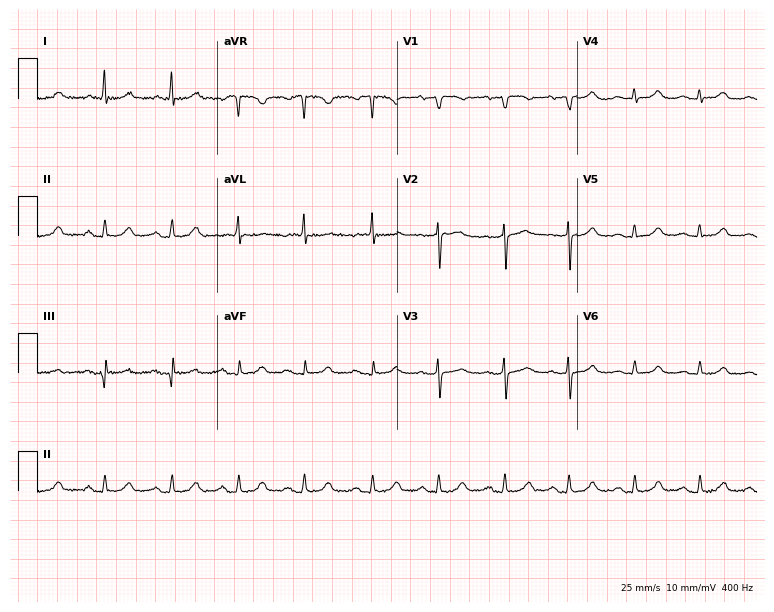
ECG (7.3-second recording at 400 Hz) — a female patient, 82 years old. Labelled as a normal ECG.